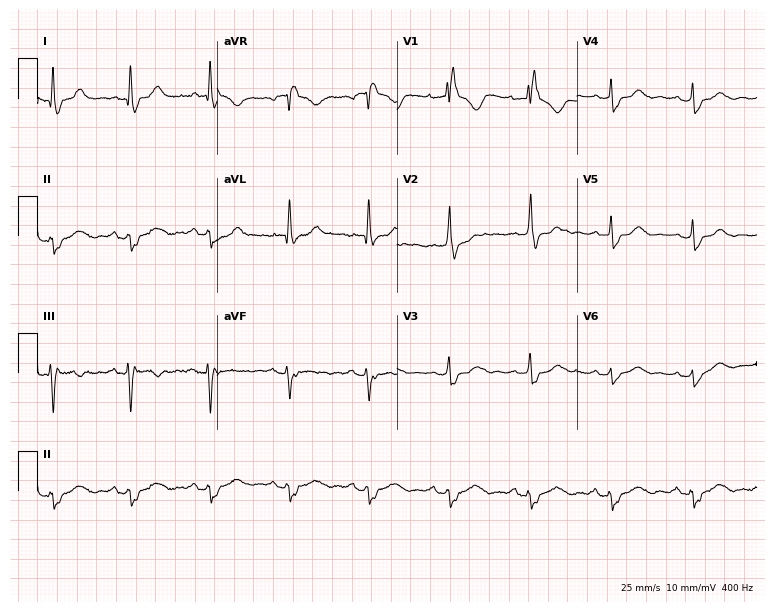
Electrocardiogram, a 58-year-old woman. Interpretation includes right bundle branch block.